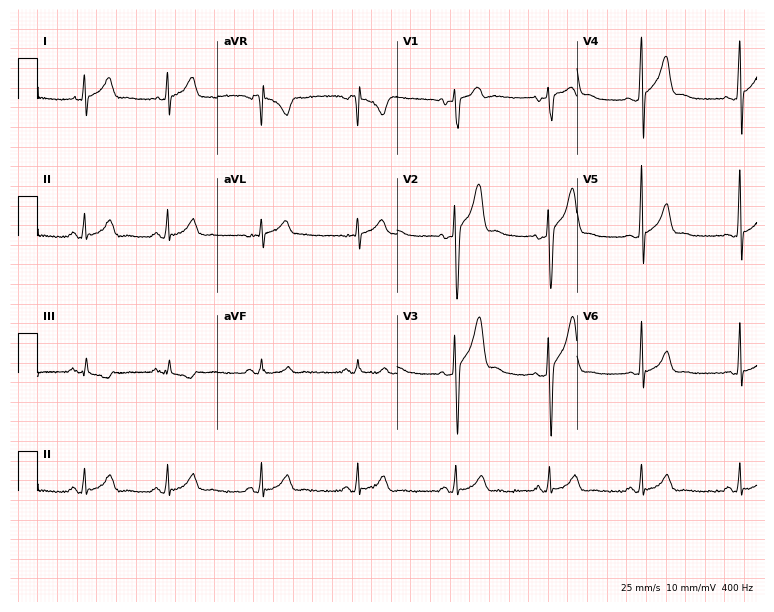
12-lead ECG from a man, 36 years old (7.3-second recording at 400 Hz). Recorded interpretation: within normal limits.